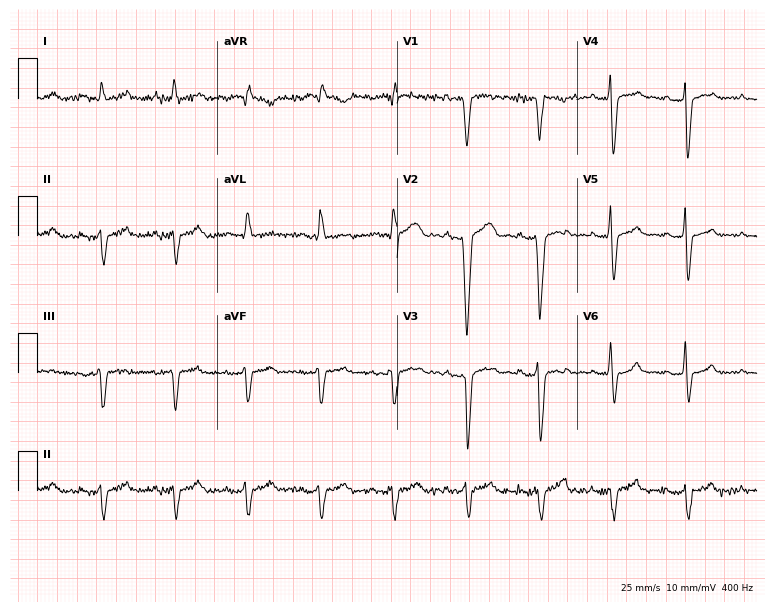
ECG (7.3-second recording at 400 Hz) — a 39-year-old male patient. Screened for six findings — first-degree AV block, right bundle branch block, left bundle branch block, sinus bradycardia, atrial fibrillation, sinus tachycardia — none is recorded. Findings outside these six are not listed.